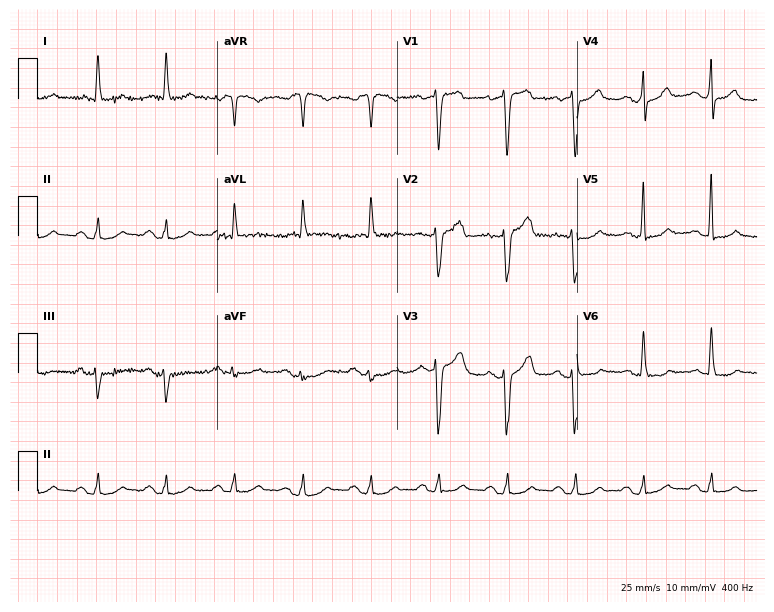
12-lead ECG from an 80-year-old female (7.3-second recording at 400 Hz). Recorded interpretation: within normal limits.